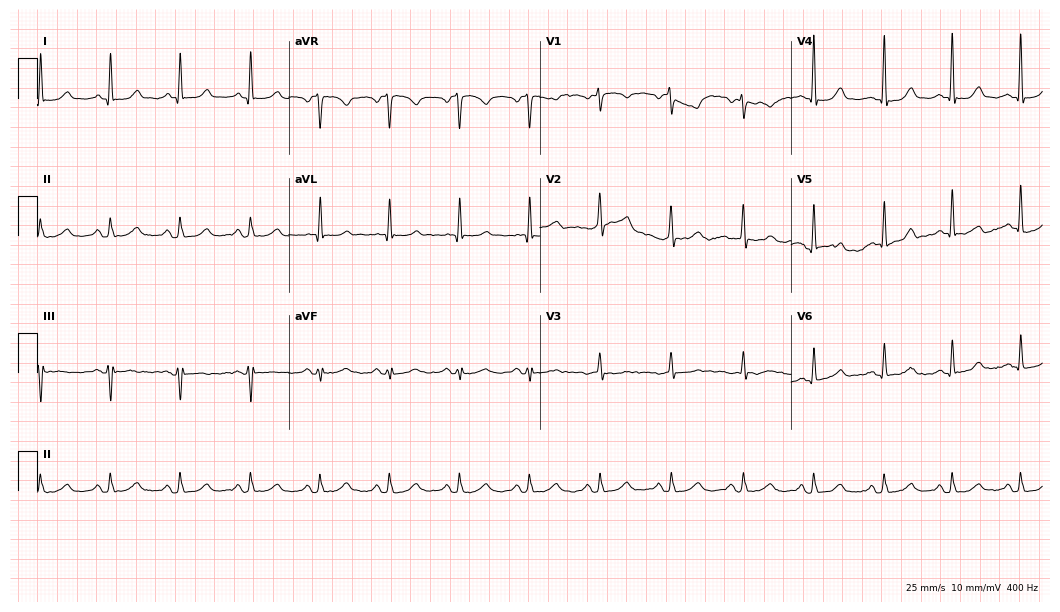
12-lead ECG from a 47-year-old woman (10.2-second recording at 400 Hz). No first-degree AV block, right bundle branch block, left bundle branch block, sinus bradycardia, atrial fibrillation or sinus tachycardia recorded for this tracing.